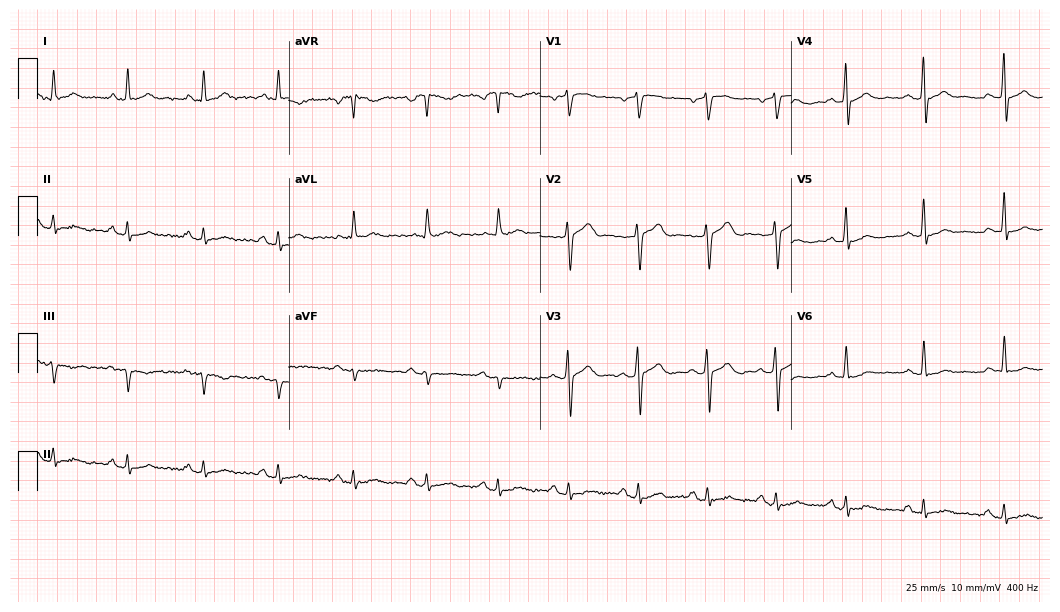
12-lead ECG from a man, 36 years old. Recorded interpretation: within normal limits.